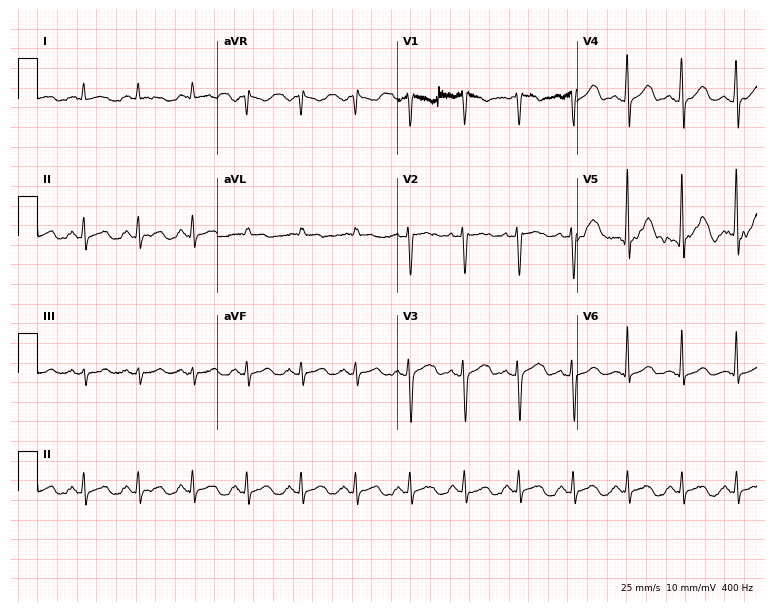
Resting 12-lead electrocardiogram (7.3-second recording at 400 Hz). Patient: a 59-year-old male. None of these six findings is recorded: first-degree AV block, right bundle branch block (RBBB), left bundle branch block (LBBB), sinus bradycardia, atrial fibrillation (AF), sinus tachycardia. Other findings, if any, are not listed.